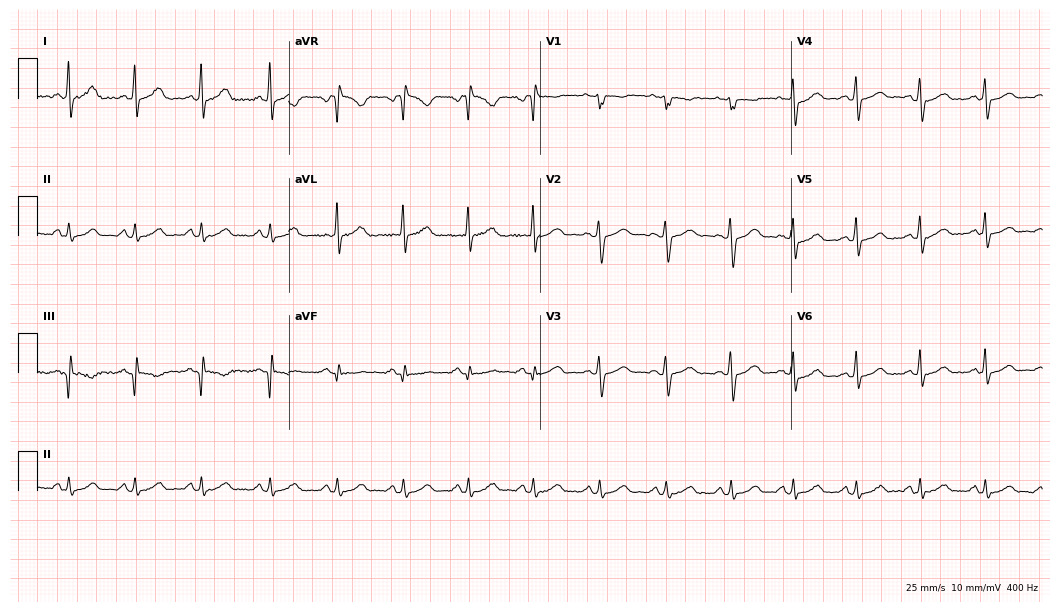
12-lead ECG from a woman, 31 years old (10.2-second recording at 400 Hz). Recorded interpretation: within normal limits.